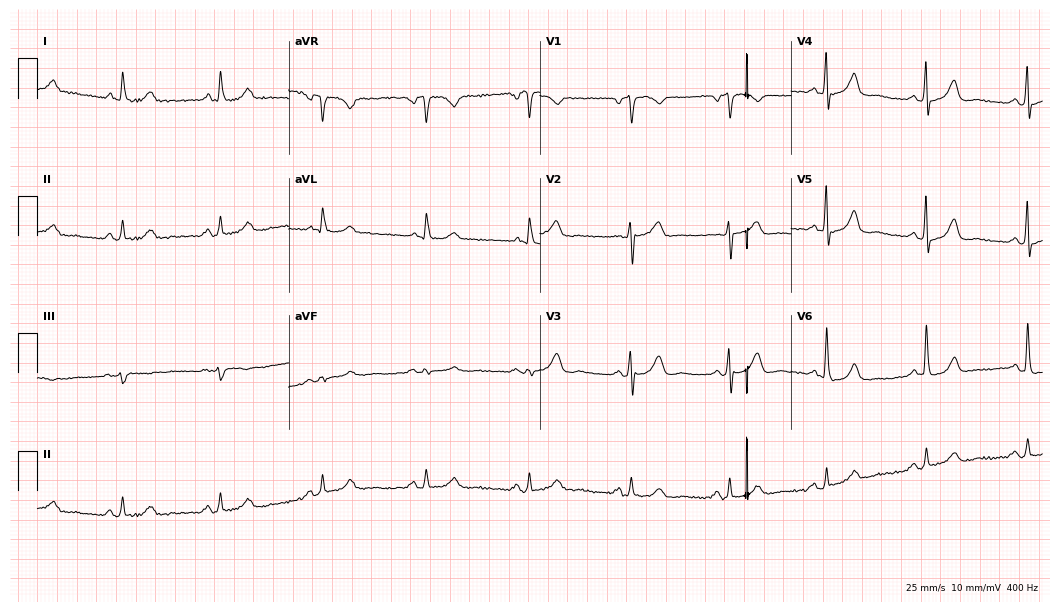
ECG — a 52-year-old female. Labelled as a normal ECG.